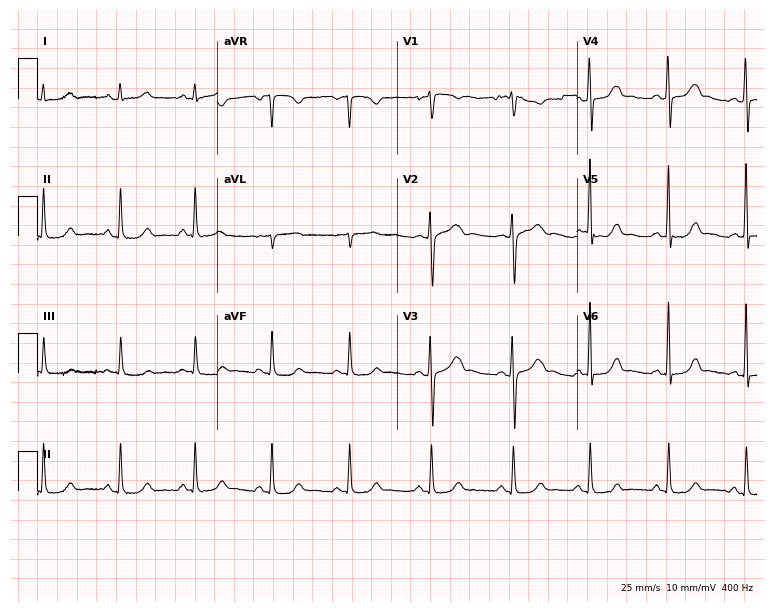
ECG — a woman, 21 years old. Screened for six findings — first-degree AV block, right bundle branch block, left bundle branch block, sinus bradycardia, atrial fibrillation, sinus tachycardia — none is recorded. Findings outside these six are not listed.